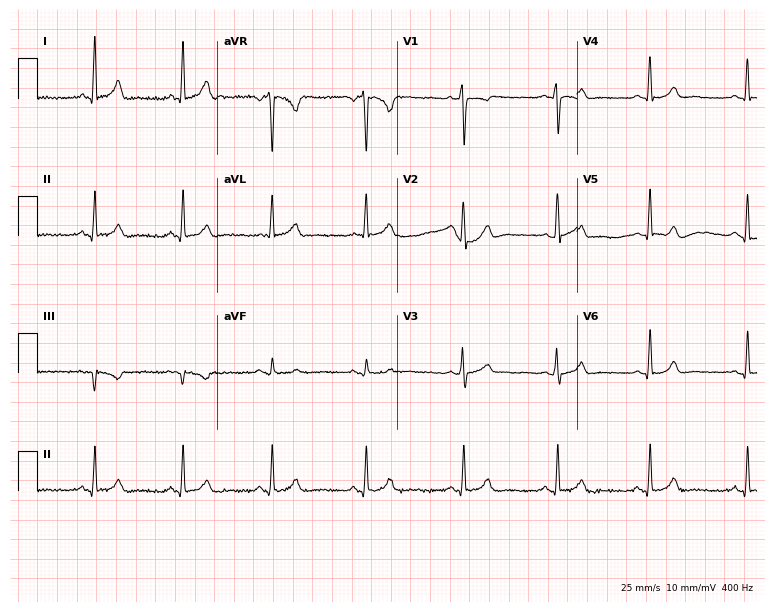
12-lead ECG from a woman, 31 years old (7.3-second recording at 400 Hz). No first-degree AV block, right bundle branch block, left bundle branch block, sinus bradycardia, atrial fibrillation or sinus tachycardia recorded for this tracing. Only these six findings were labelled.